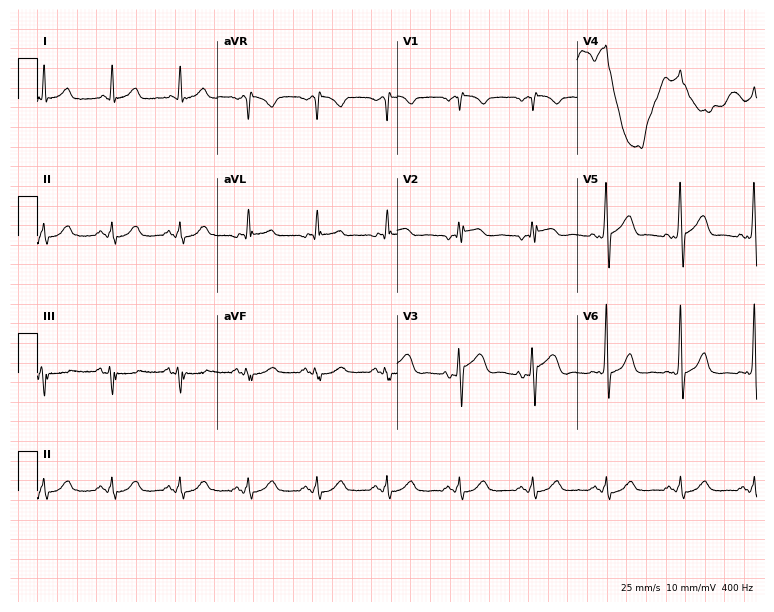
12-lead ECG from a man, 60 years old (7.3-second recording at 400 Hz). No first-degree AV block, right bundle branch block, left bundle branch block, sinus bradycardia, atrial fibrillation or sinus tachycardia recorded for this tracing.